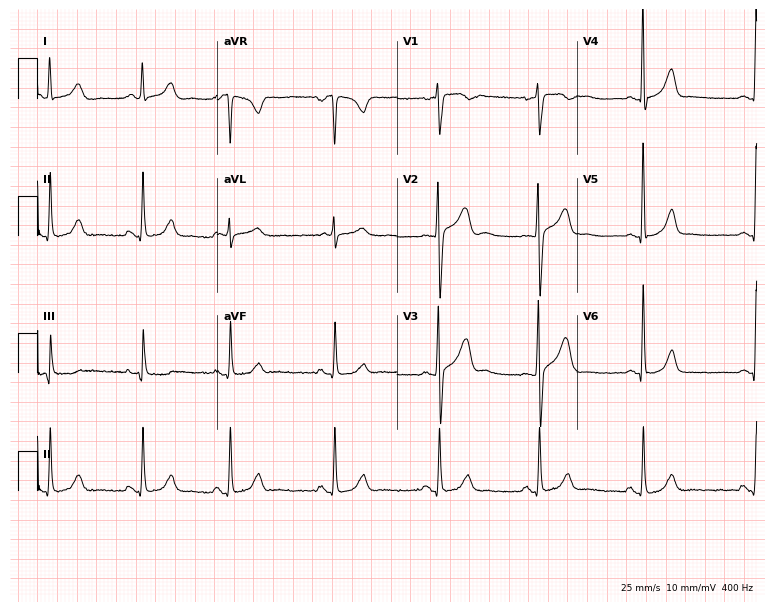
Standard 12-lead ECG recorded from a 25-year-old male. Read as a normal ECG.